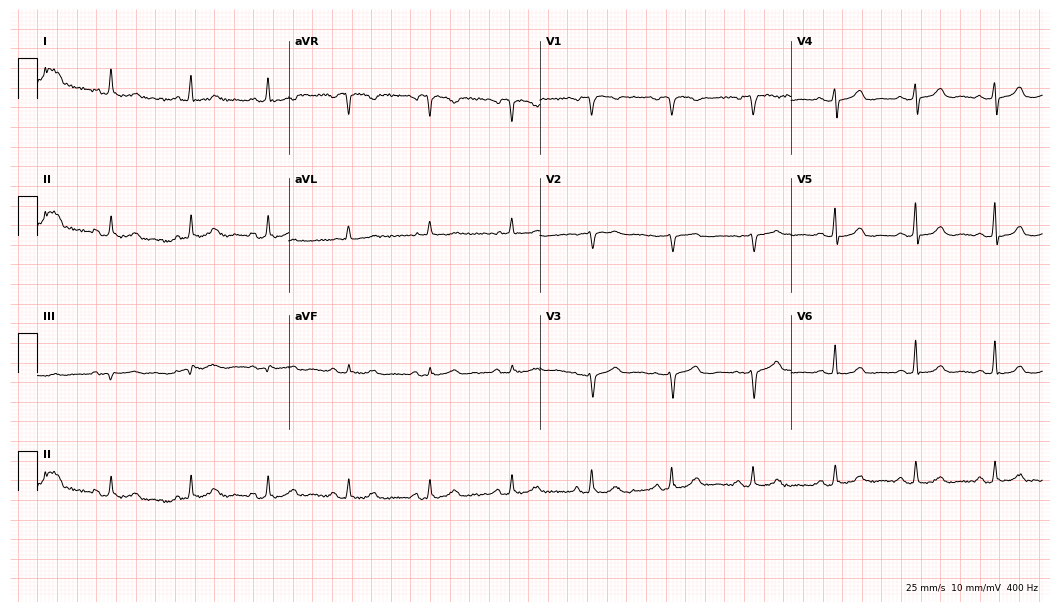
Resting 12-lead electrocardiogram (10.2-second recording at 400 Hz). Patient: a female, 74 years old. Read as a normal ECG.